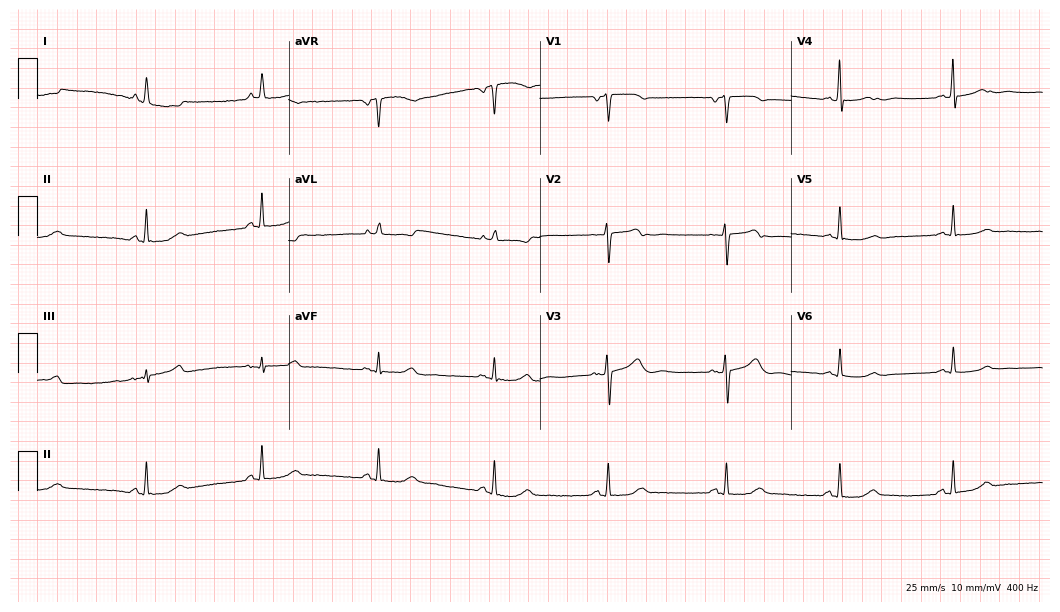
ECG (10.2-second recording at 400 Hz) — a 58-year-old female patient. Labelled as a normal ECG.